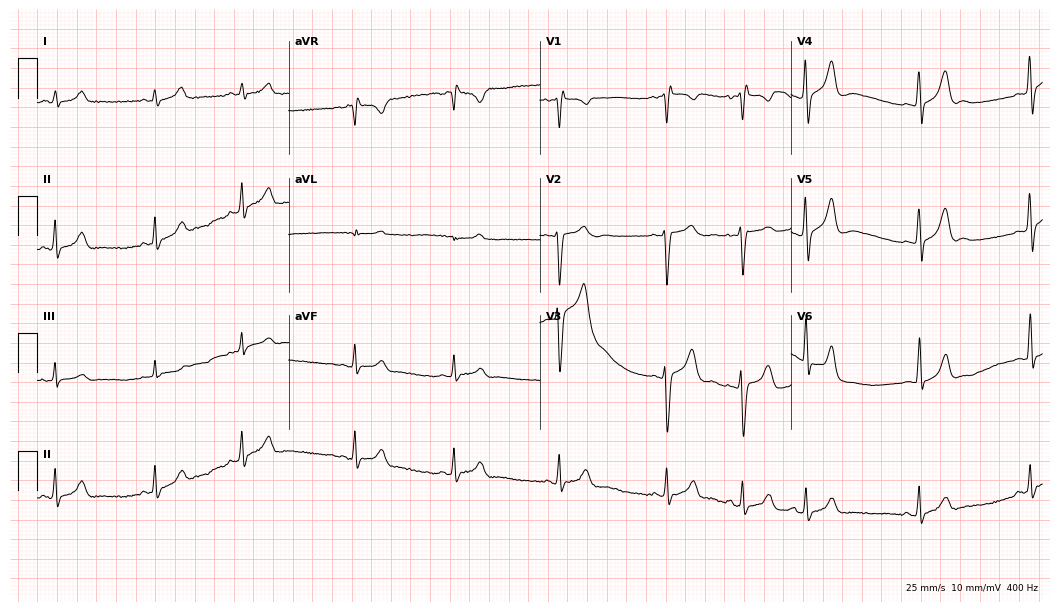
12-lead ECG (10.2-second recording at 400 Hz) from an 18-year-old male. Screened for six findings — first-degree AV block, right bundle branch block, left bundle branch block, sinus bradycardia, atrial fibrillation, sinus tachycardia — none is recorded. Other findings, if any, are not listed.